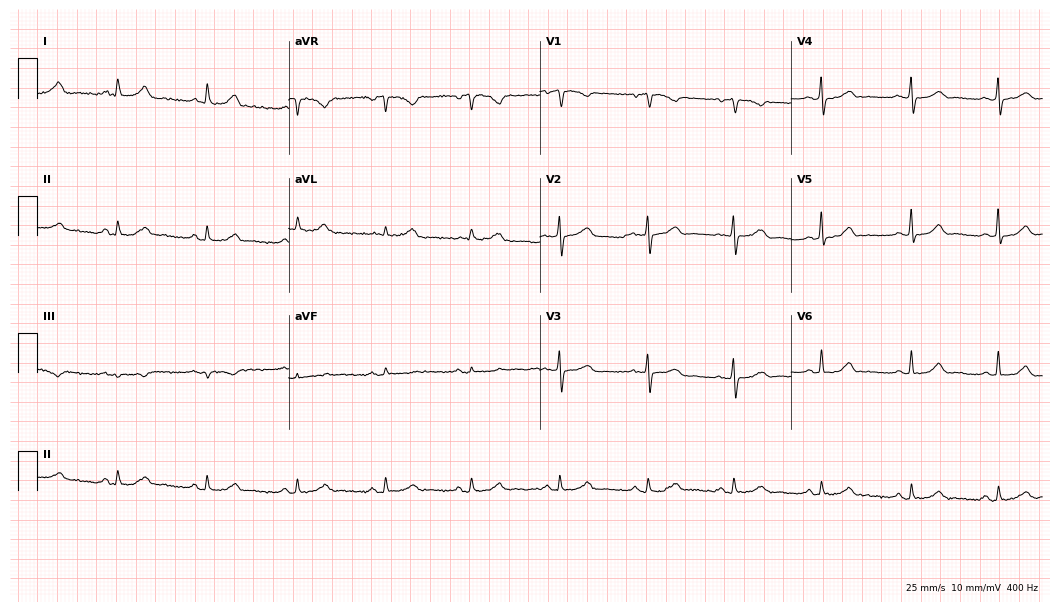
ECG (10.2-second recording at 400 Hz) — a 58-year-old female patient. Labelled as a normal ECG.